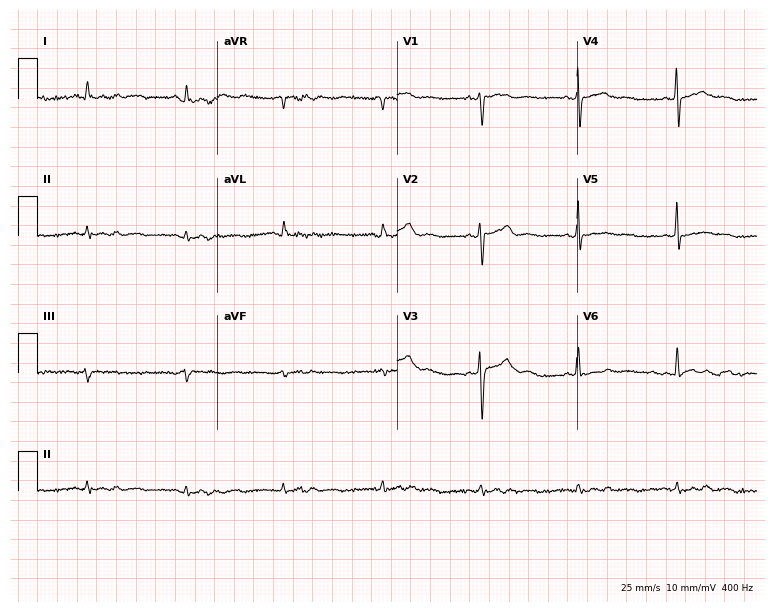
Standard 12-lead ECG recorded from a 33-year-old female (7.3-second recording at 400 Hz). Read as a normal ECG.